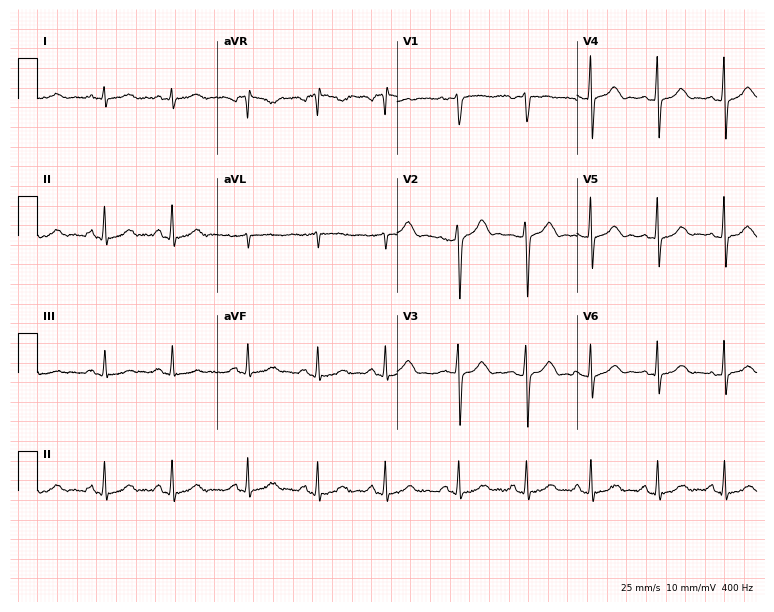
Electrocardiogram, a woman, 39 years old. Overall reading on record: normal ECG.